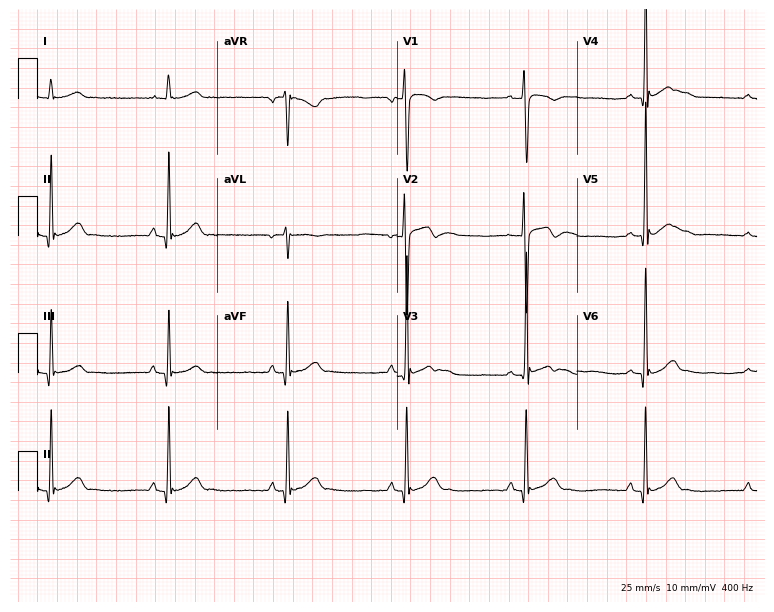
Resting 12-lead electrocardiogram. Patient: an 18-year-old male. None of these six findings is recorded: first-degree AV block, right bundle branch block, left bundle branch block, sinus bradycardia, atrial fibrillation, sinus tachycardia. Other findings, if any, are not listed.